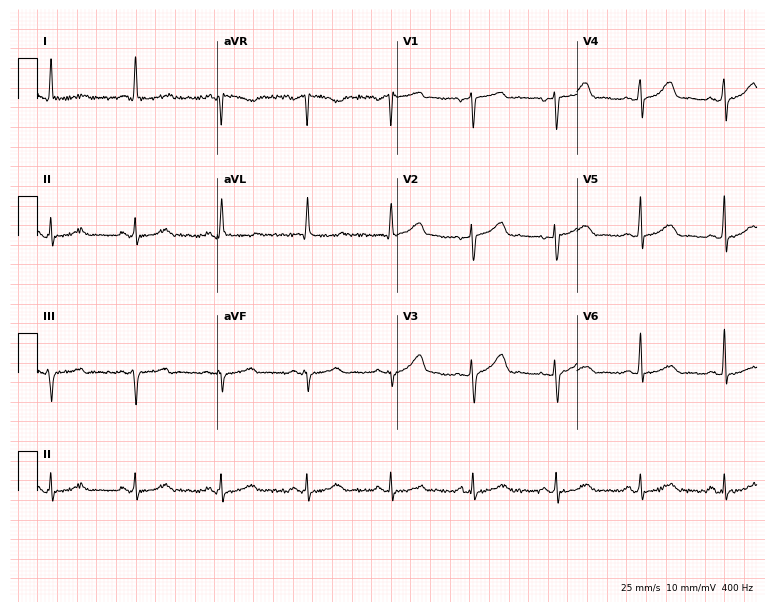
Resting 12-lead electrocardiogram. Patient: a woman, 61 years old. None of these six findings is recorded: first-degree AV block, right bundle branch block, left bundle branch block, sinus bradycardia, atrial fibrillation, sinus tachycardia.